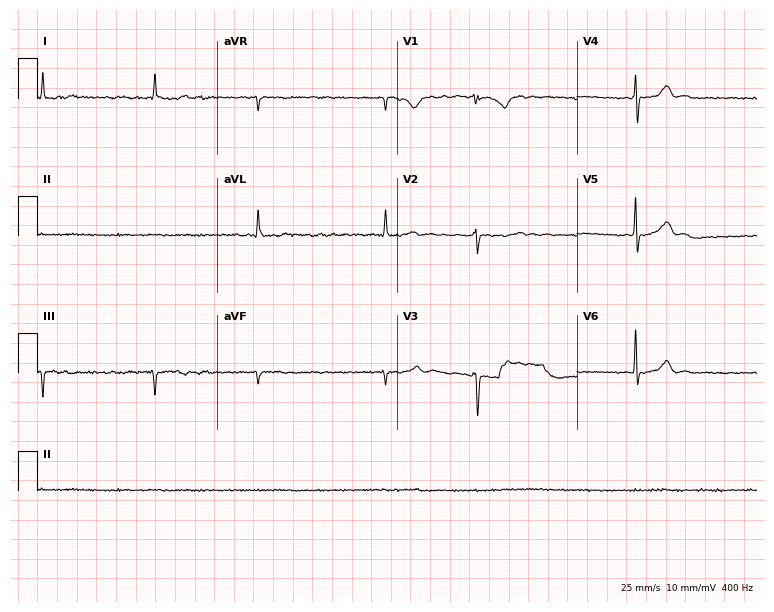
Standard 12-lead ECG recorded from a man, 69 years old (7.3-second recording at 400 Hz). None of these six findings is recorded: first-degree AV block, right bundle branch block, left bundle branch block, sinus bradycardia, atrial fibrillation, sinus tachycardia.